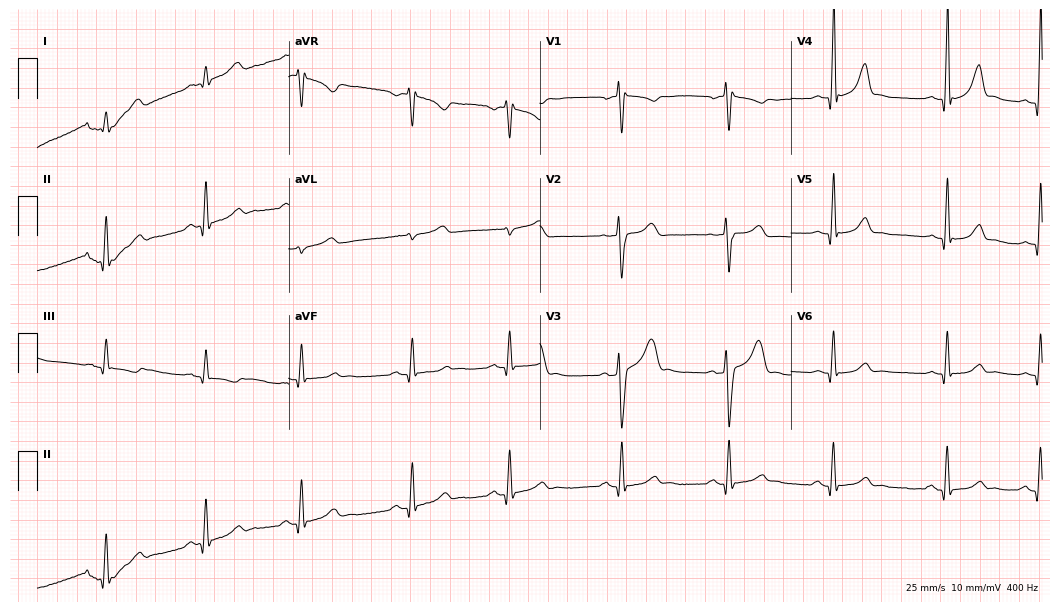
Resting 12-lead electrocardiogram (10.2-second recording at 400 Hz). Patient: a man, 34 years old. Read as a normal ECG.